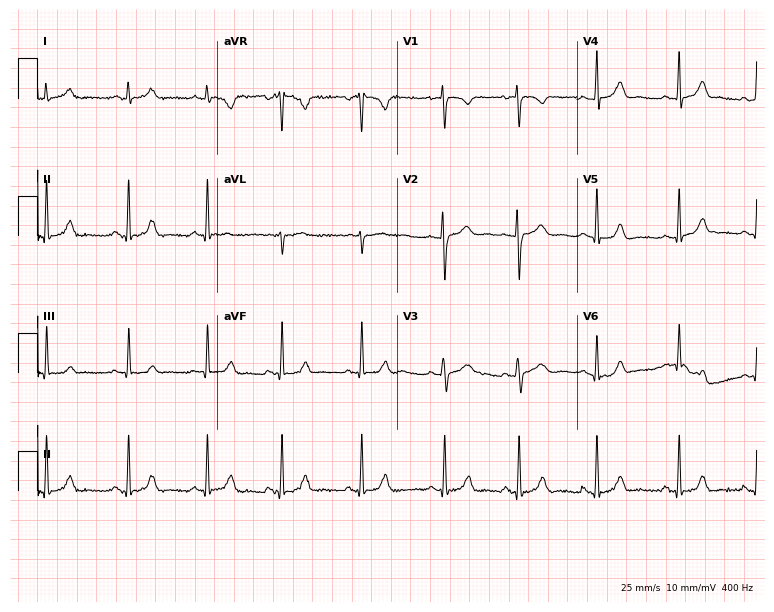
Standard 12-lead ECG recorded from a 23-year-old female. None of these six findings is recorded: first-degree AV block, right bundle branch block, left bundle branch block, sinus bradycardia, atrial fibrillation, sinus tachycardia. Only these six findings were labelled.